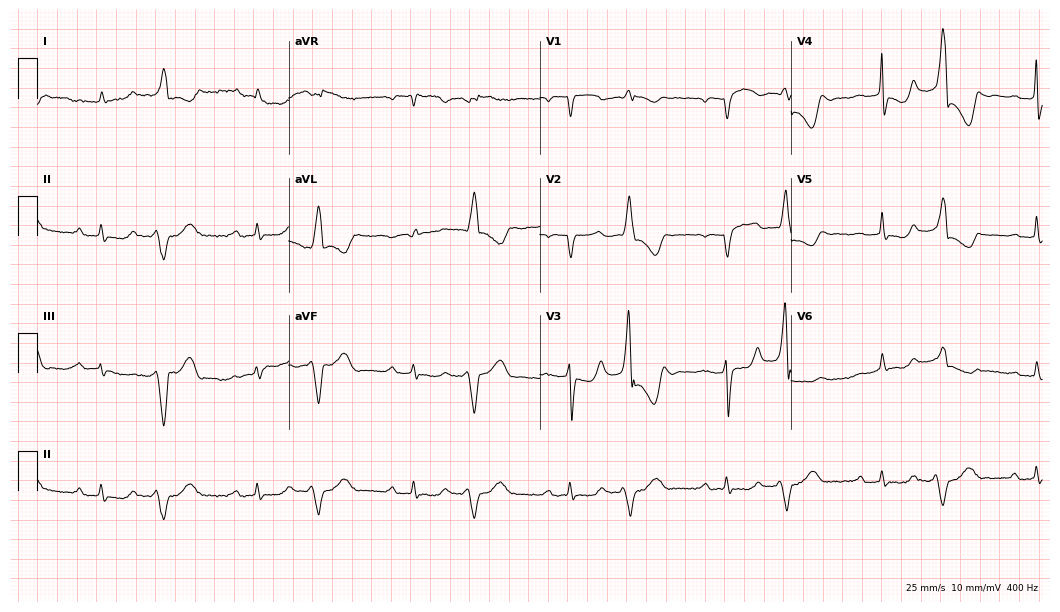
12-lead ECG from a female patient, 85 years old. Screened for six findings — first-degree AV block, right bundle branch block, left bundle branch block, sinus bradycardia, atrial fibrillation, sinus tachycardia — none is recorded. Other findings, if any, are not listed.